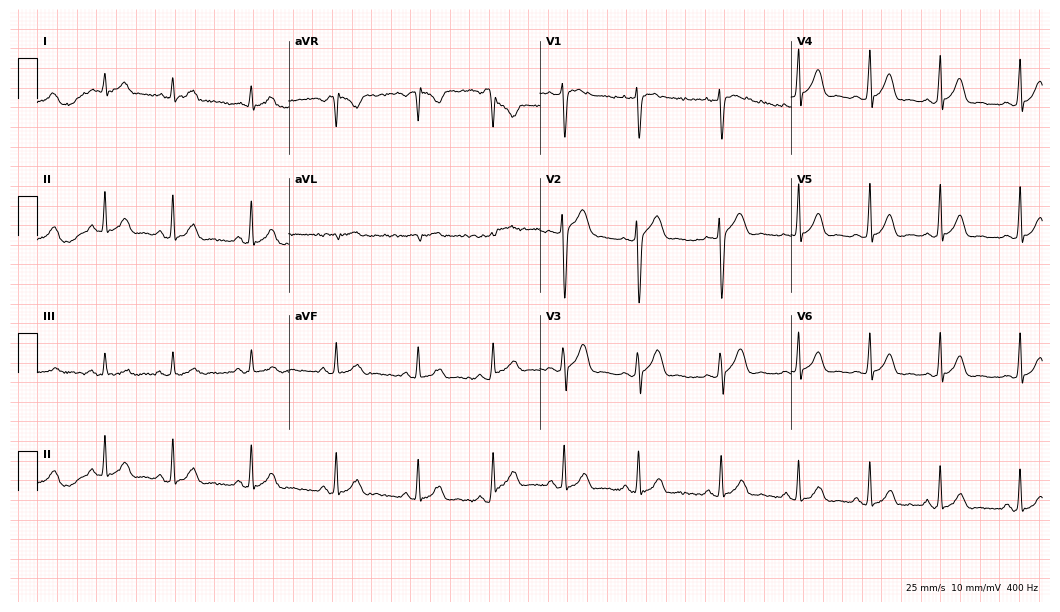
ECG (10.2-second recording at 400 Hz) — a 23-year-old female. Labelled as a normal ECG.